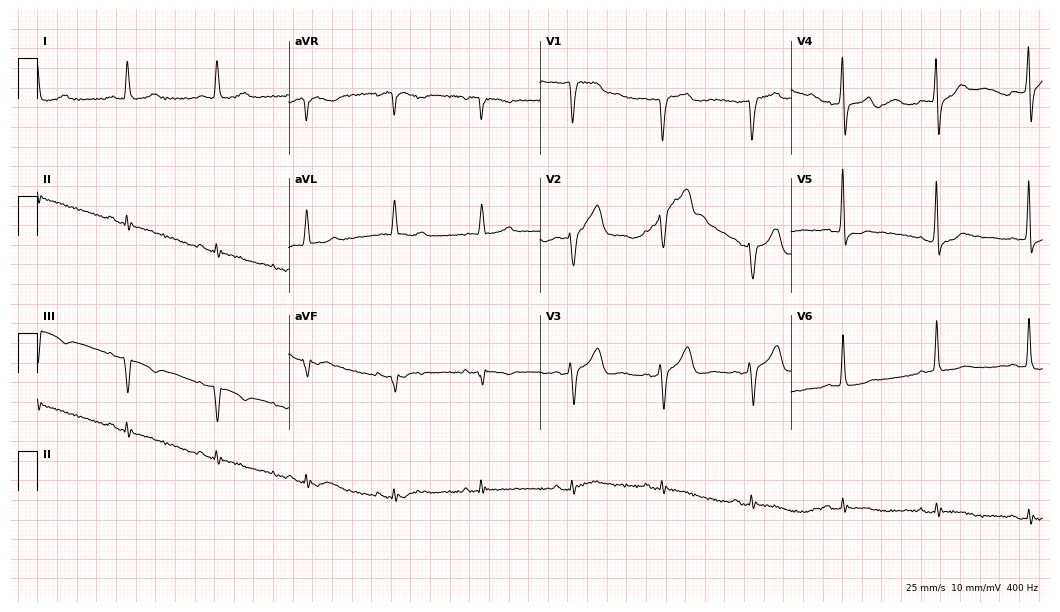
Standard 12-lead ECG recorded from a male patient, 79 years old. None of these six findings is recorded: first-degree AV block, right bundle branch block, left bundle branch block, sinus bradycardia, atrial fibrillation, sinus tachycardia. Other findings, if any, are not listed.